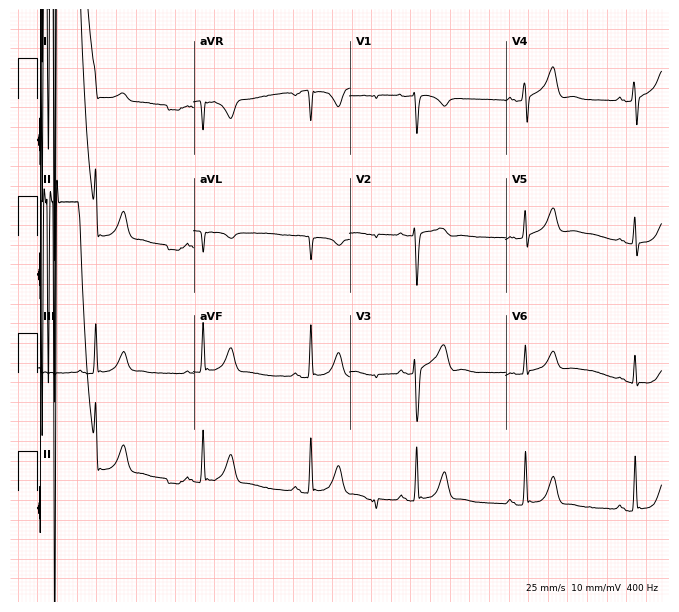
12-lead ECG from a man, 50 years old. Screened for six findings — first-degree AV block, right bundle branch block, left bundle branch block, sinus bradycardia, atrial fibrillation, sinus tachycardia — none is recorded.